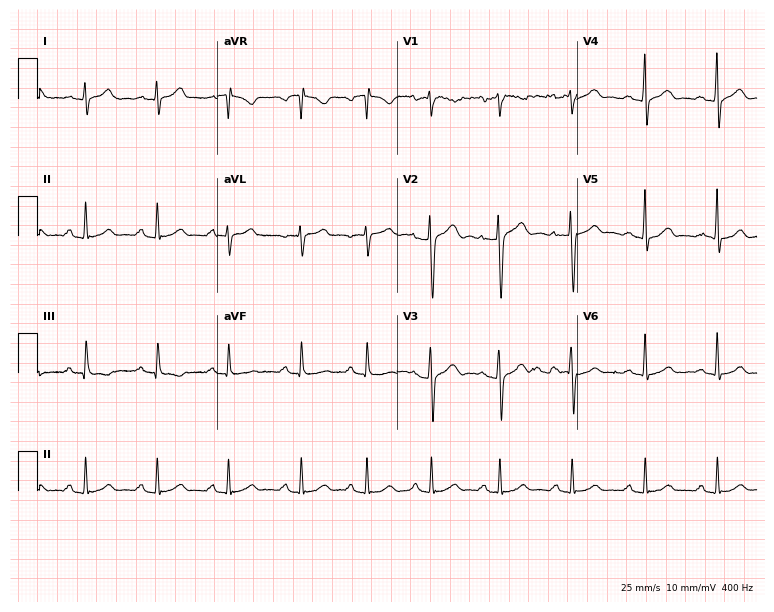
Resting 12-lead electrocardiogram (7.3-second recording at 400 Hz). Patient: a 29-year-old male. Read as a normal ECG.